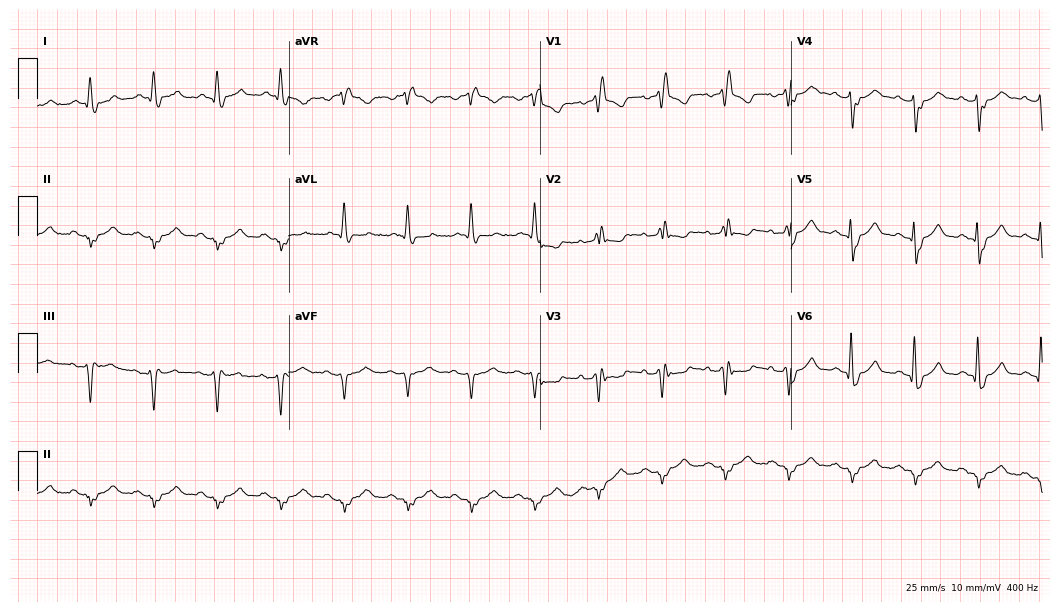
Standard 12-lead ECG recorded from a male, 81 years old. The tracing shows right bundle branch block (RBBB).